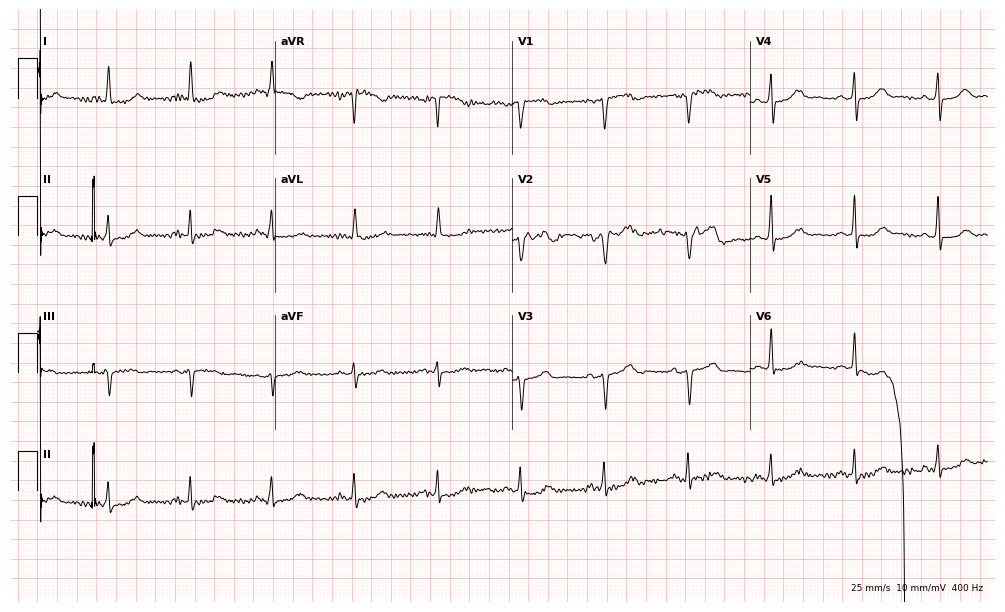
12-lead ECG from a female, 64 years old. Labelled as a normal ECG.